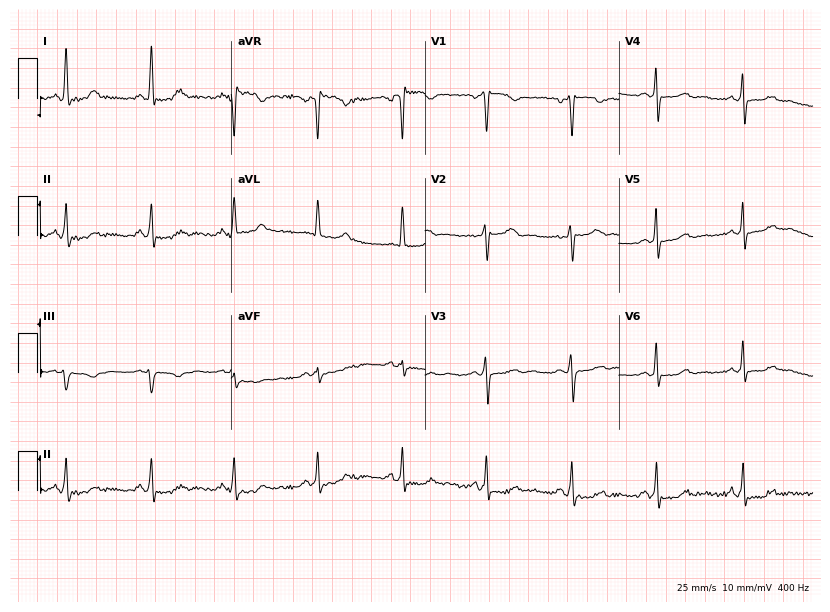
ECG (7.9-second recording at 400 Hz) — a 38-year-old female. Labelled as a normal ECG.